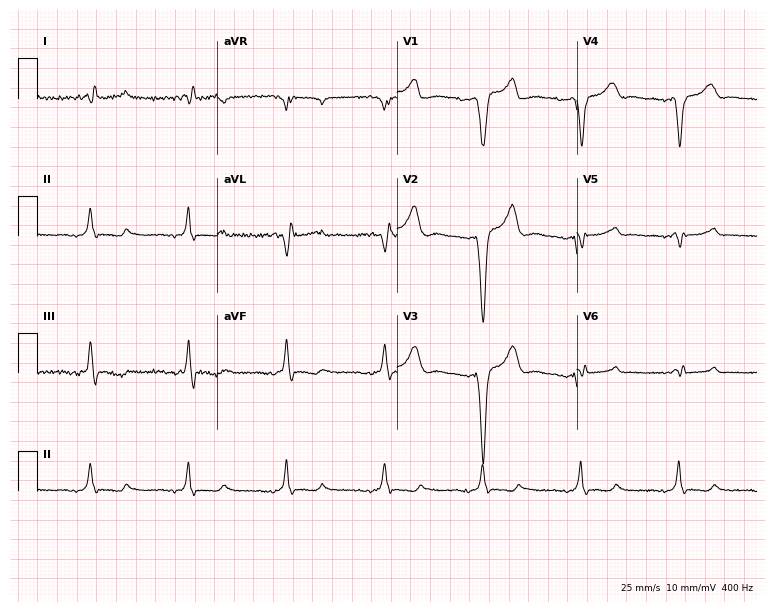
Resting 12-lead electrocardiogram. Patient: a woman, 75 years old. None of these six findings is recorded: first-degree AV block, right bundle branch block, left bundle branch block, sinus bradycardia, atrial fibrillation, sinus tachycardia.